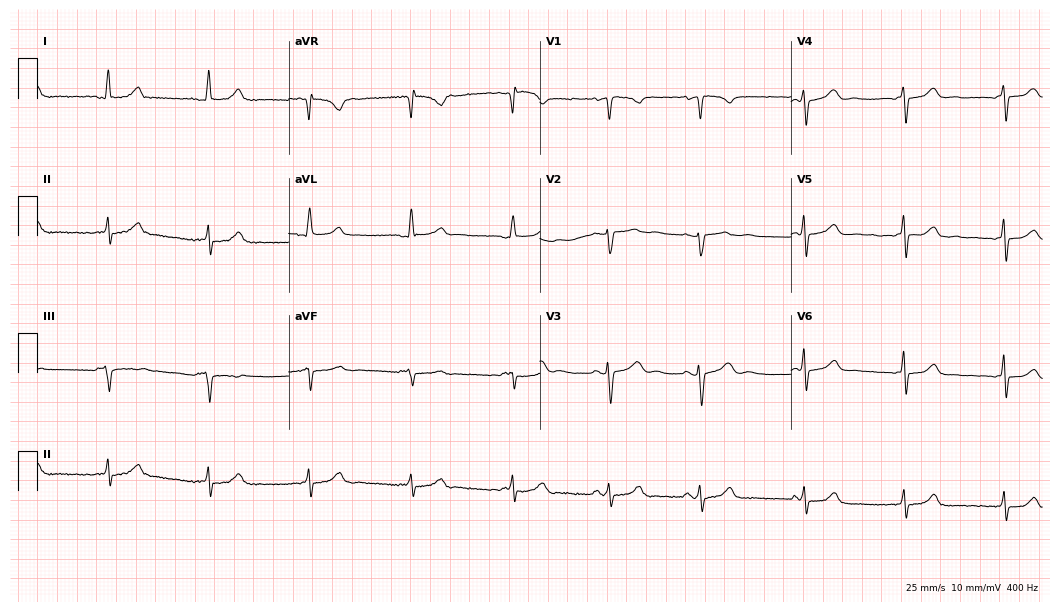
12-lead ECG from a female patient, 36 years old. No first-degree AV block, right bundle branch block, left bundle branch block, sinus bradycardia, atrial fibrillation or sinus tachycardia recorded for this tracing. Other findings, if any, are not listed.